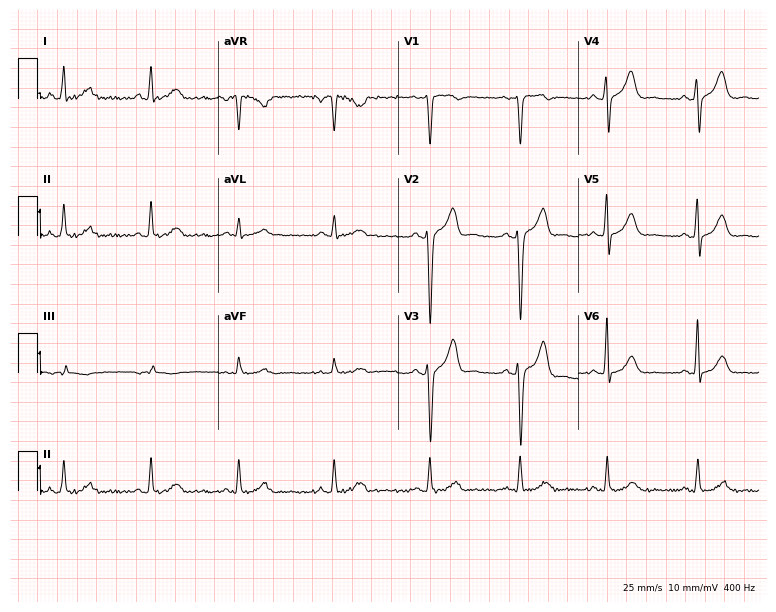
ECG — a 29-year-old female patient. Labelled as a normal ECG.